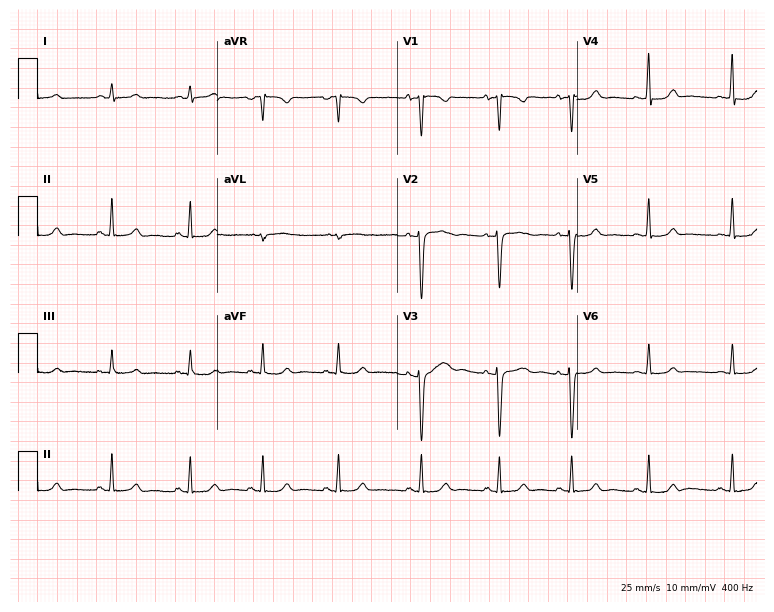
12-lead ECG from a female, 24 years old (7.3-second recording at 400 Hz). No first-degree AV block, right bundle branch block, left bundle branch block, sinus bradycardia, atrial fibrillation or sinus tachycardia recorded for this tracing. Only these six findings were labelled.